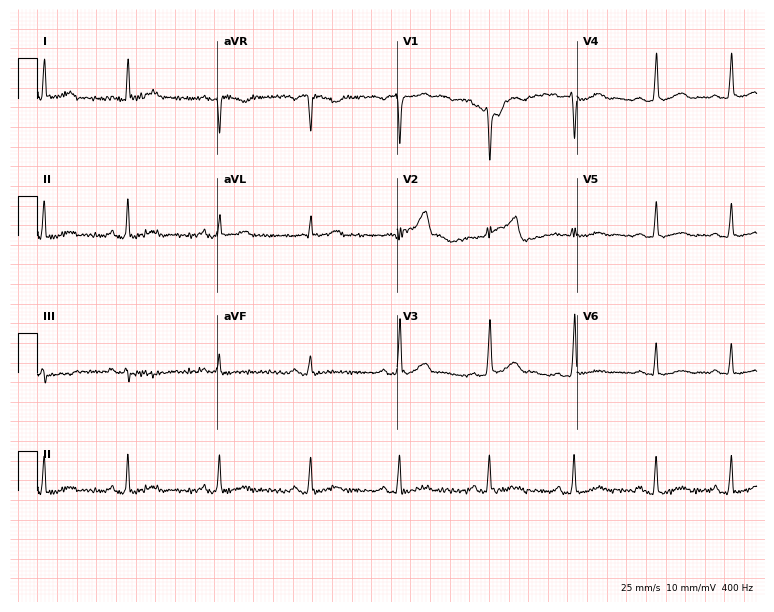
ECG (7.3-second recording at 400 Hz) — a female, 34 years old. Screened for six findings — first-degree AV block, right bundle branch block (RBBB), left bundle branch block (LBBB), sinus bradycardia, atrial fibrillation (AF), sinus tachycardia — none is recorded. Other findings, if any, are not listed.